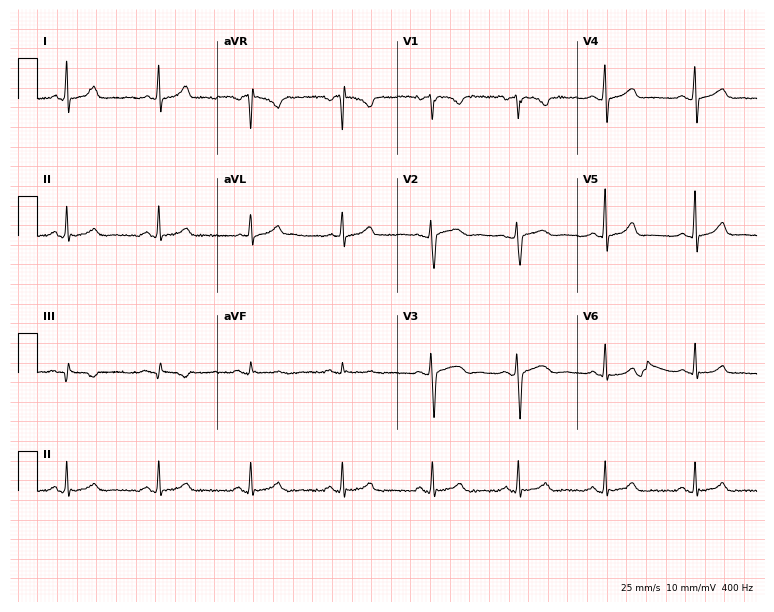
ECG — a 32-year-old woman. Labelled as a normal ECG.